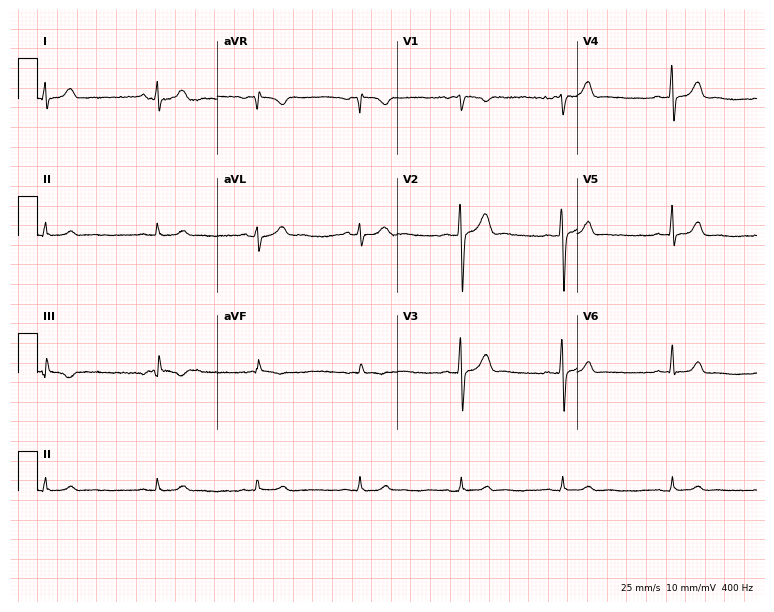
Electrocardiogram (7.3-second recording at 400 Hz), a 21-year-old woman. Of the six screened findings (first-degree AV block, right bundle branch block, left bundle branch block, sinus bradycardia, atrial fibrillation, sinus tachycardia), none is recorded. Other findings, if any, are not listed.